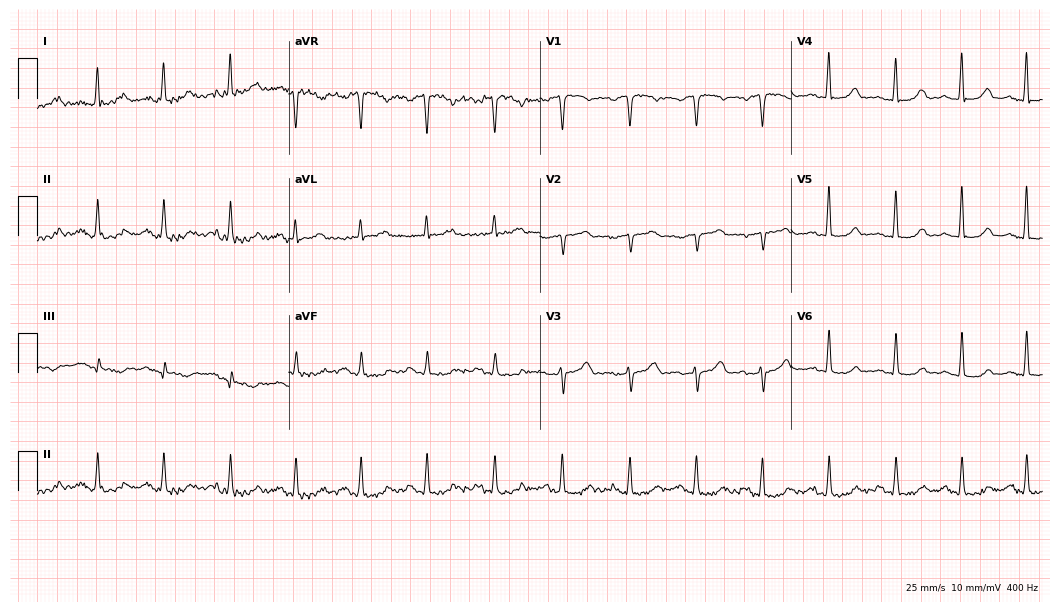
12-lead ECG from a female, 54 years old. Labelled as a normal ECG.